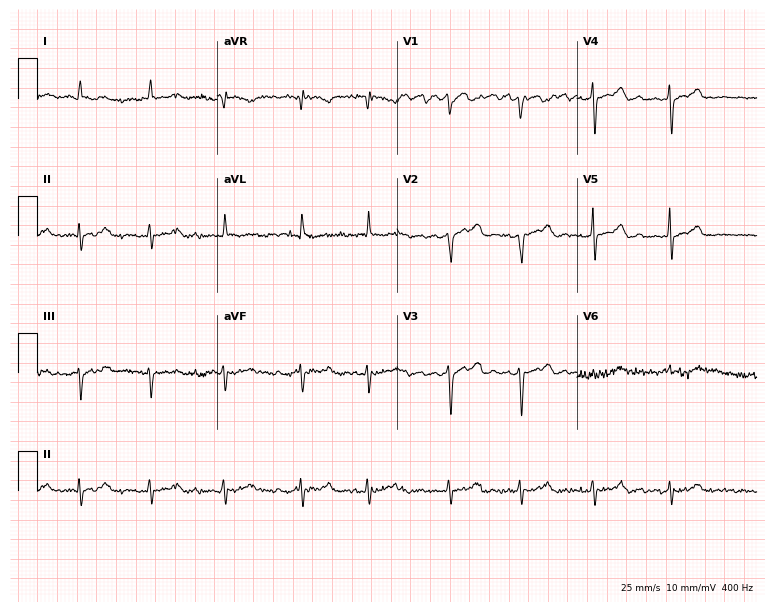
Resting 12-lead electrocardiogram (7.3-second recording at 400 Hz). Patient: a female, 83 years old. None of these six findings is recorded: first-degree AV block, right bundle branch block (RBBB), left bundle branch block (LBBB), sinus bradycardia, atrial fibrillation (AF), sinus tachycardia.